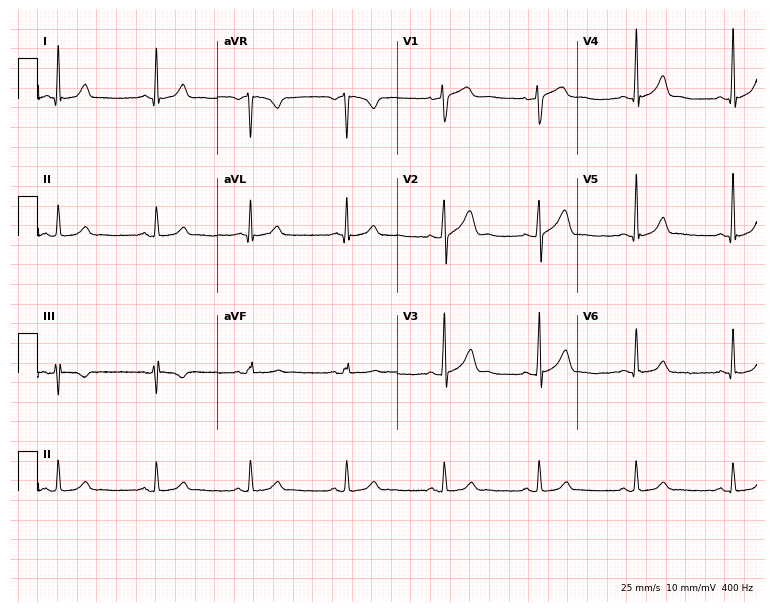
Standard 12-lead ECG recorded from a 28-year-old man (7.3-second recording at 400 Hz). Read as a normal ECG.